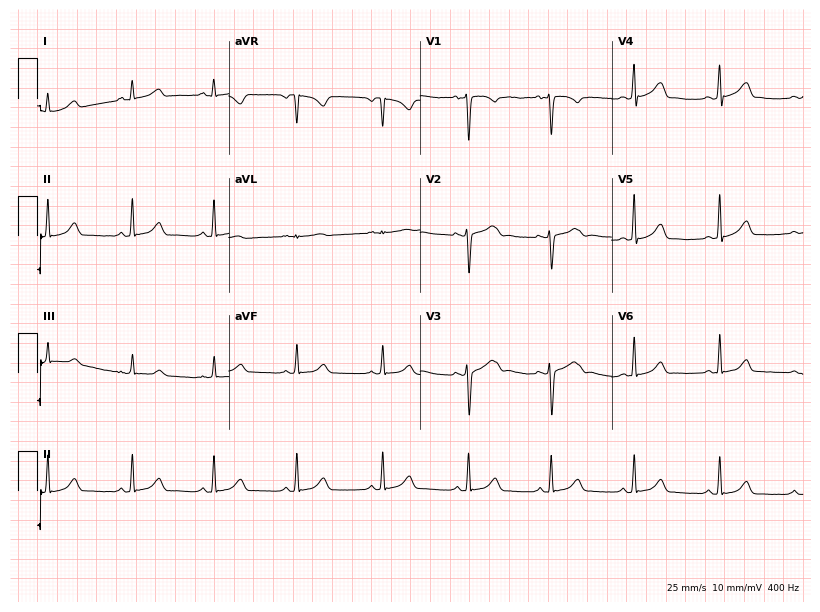
Resting 12-lead electrocardiogram (7.8-second recording at 400 Hz). Patient: a woman, 19 years old. Read as a normal ECG.